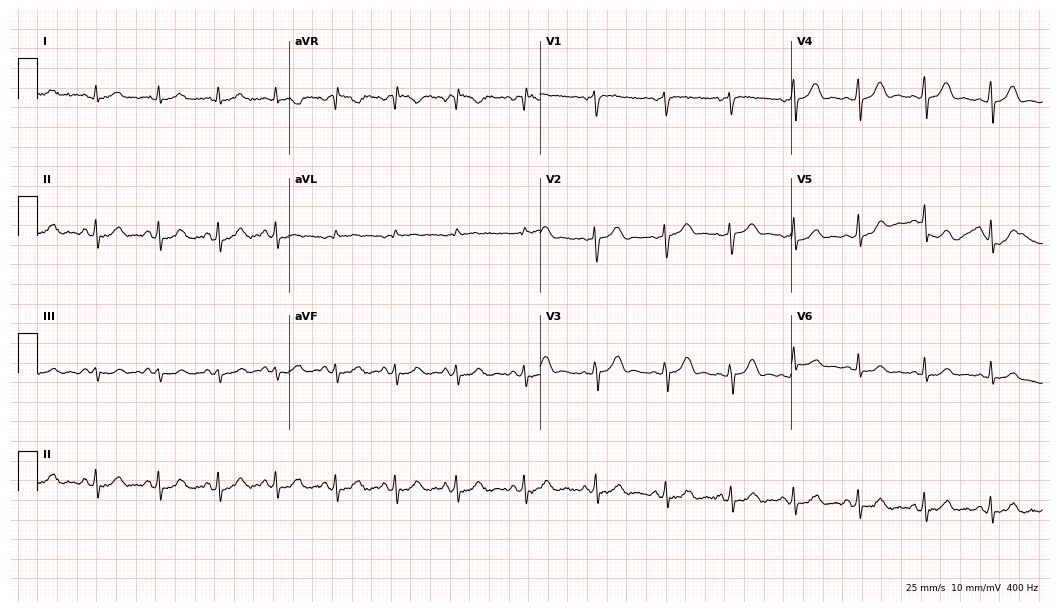
ECG — a woman, 28 years old. Screened for six findings — first-degree AV block, right bundle branch block, left bundle branch block, sinus bradycardia, atrial fibrillation, sinus tachycardia — none is recorded. Only these six findings were labelled.